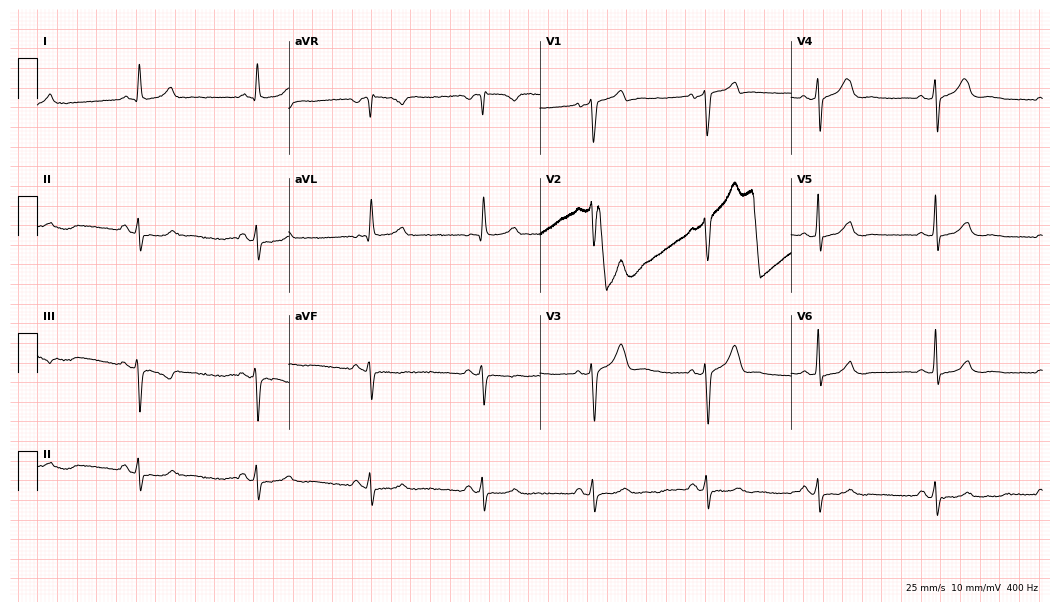
ECG (10.2-second recording at 400 Hz) — a 62-year-old woman. Screened for six findings — first-degree AV block, right bundle branch block, left bundle branch block, sinus bradycardia, atrial fibrillation, sinus tachycardia — none is recorded.